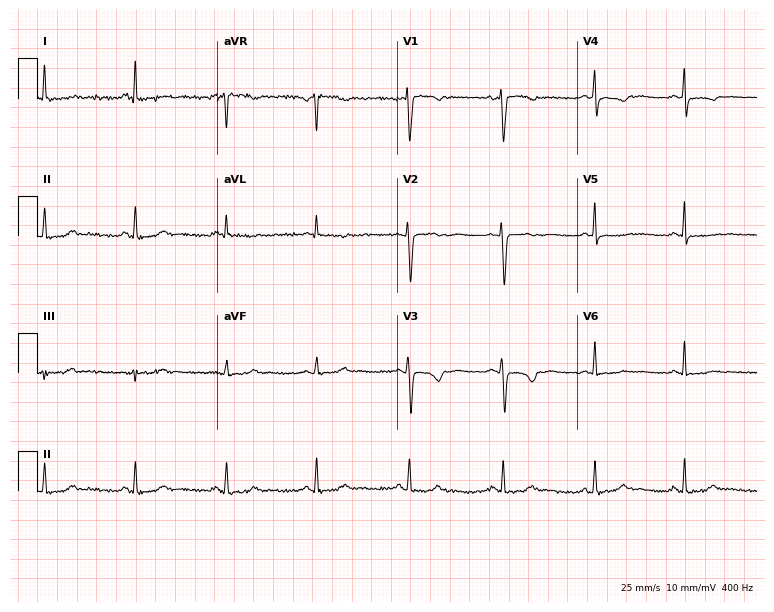
Resting 12-lead electrocardiogram (7.3-second recording at 400 Hz). Patient: a woman, 49 years old. None of these six findings is recorded: first-degree AV block, right bundle branch block (RBBB), left bundle branch block (LBBB), sinus bradycardia, atrial fibrillation (AF), sinus tachycardia.